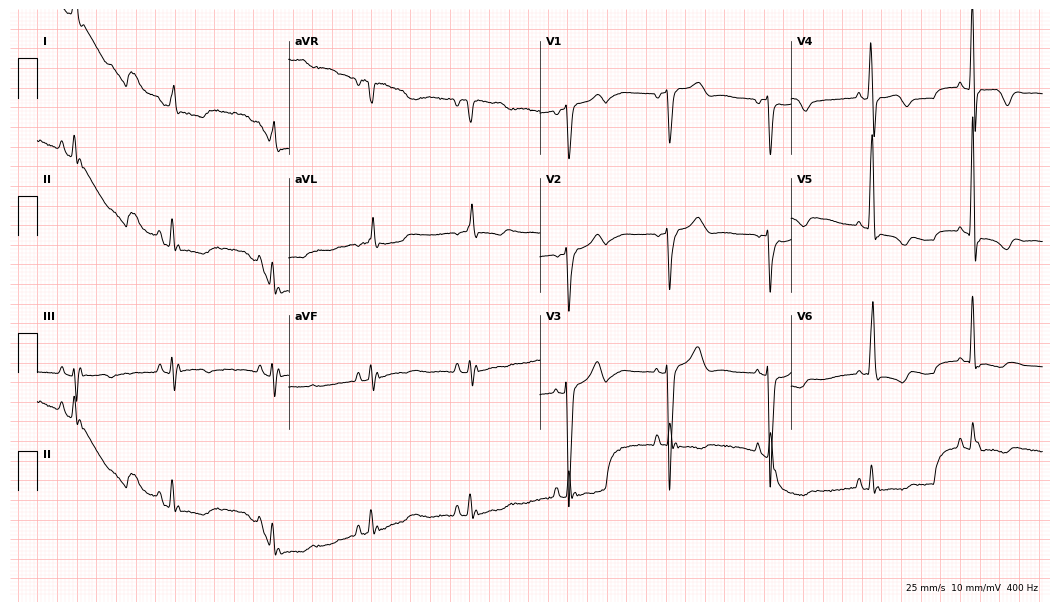
12-lead ECG from a man, 69 years old. Screened for six findings — first-degree AV block, right bundle branch block, left bundle branch block, sinus bradycardia, atrial fibrillation, sinus tachycardia — none is recorded.